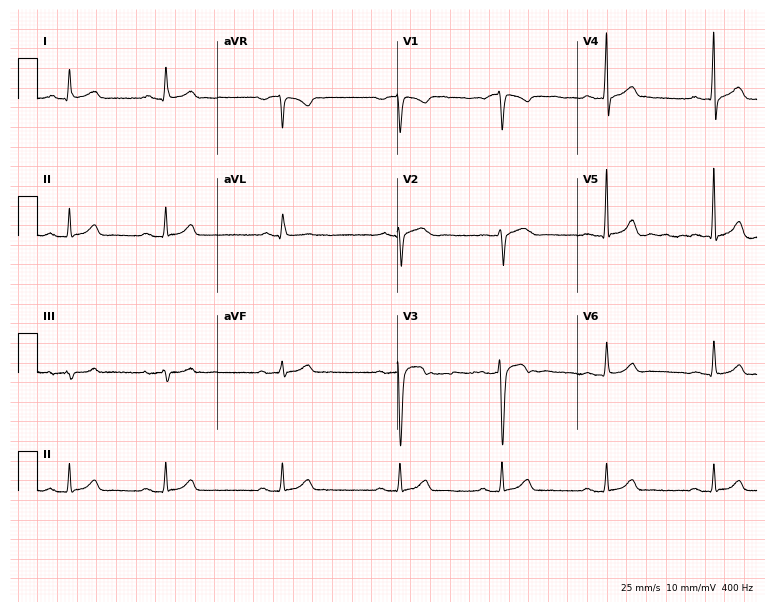
Standard 12-lead ECG recorded from a male patient, 34 years old. Read as a normal ECG.